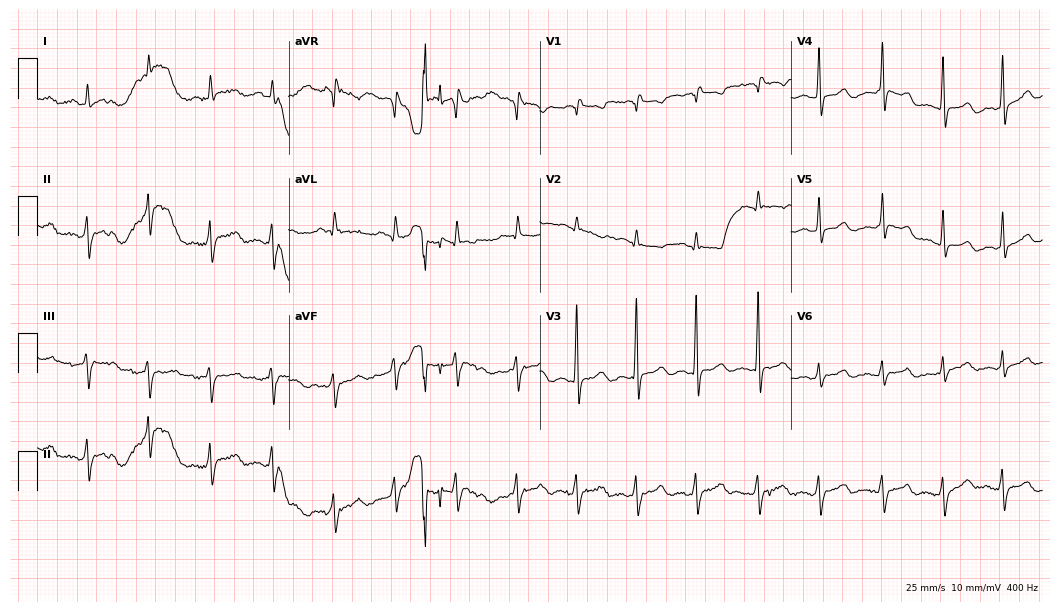
12-lead ECG (10.2-second recording at 400 Hz) from a male patient, 36 years old. Screened for six findings — first-degree AV block, right bundle branch block, left bundle branch block, sinus bradycardia, atrial fibrillation, sinus tachycardia — none is recorded. Only these six findings were labelled.